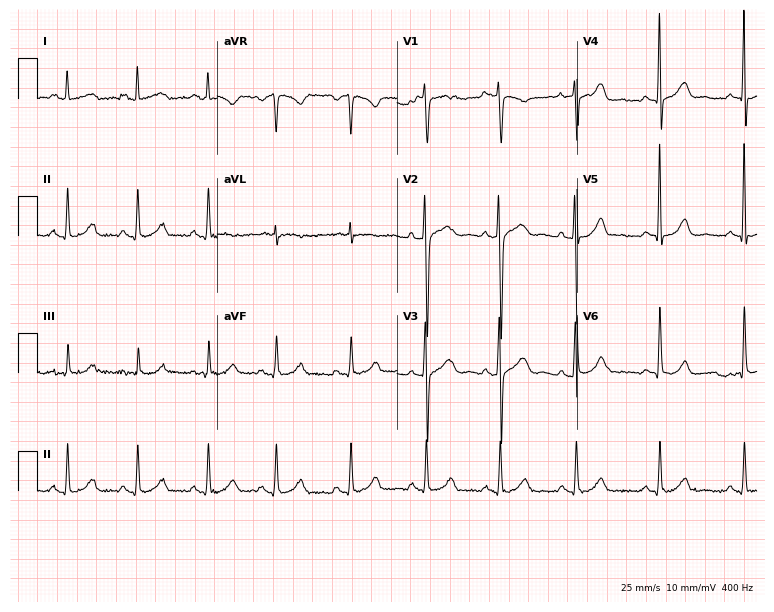
12-lead ECG from a 48-year-old man (7.3-second recording at 400 Hz). No first-degree AV block, right bundle branch block, left bundle branch block, sinus bradycardia, atrial fibrillation or sinus tachycardia recorded for this tracing. Findings outside these six are not listed.